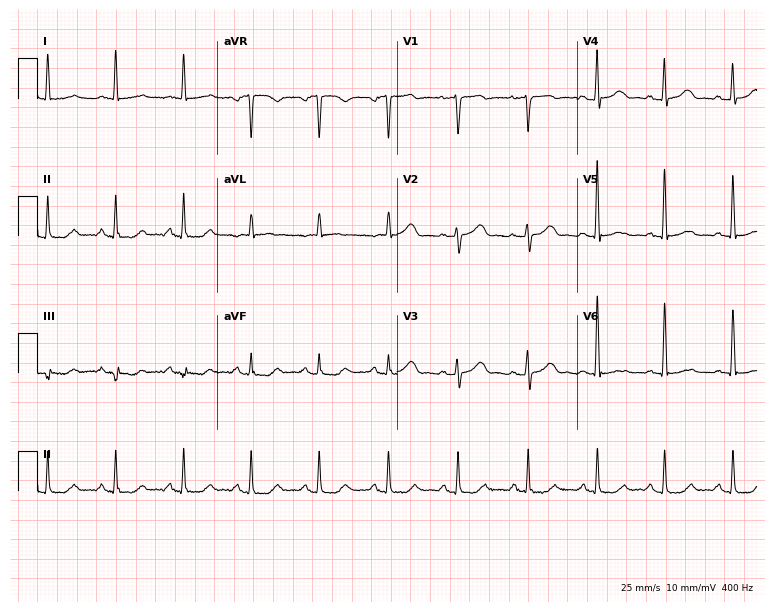
12-lead ECG from a 74-year-old female patient (7.3-second recording at 400 Hz). No first-degree AV block, right bundle branch block (RBBB), left bundle branch block (LBBB), sinus bradycardia, atrial fibrillation (AF) or sinus tachycardia recorded for this tracing.